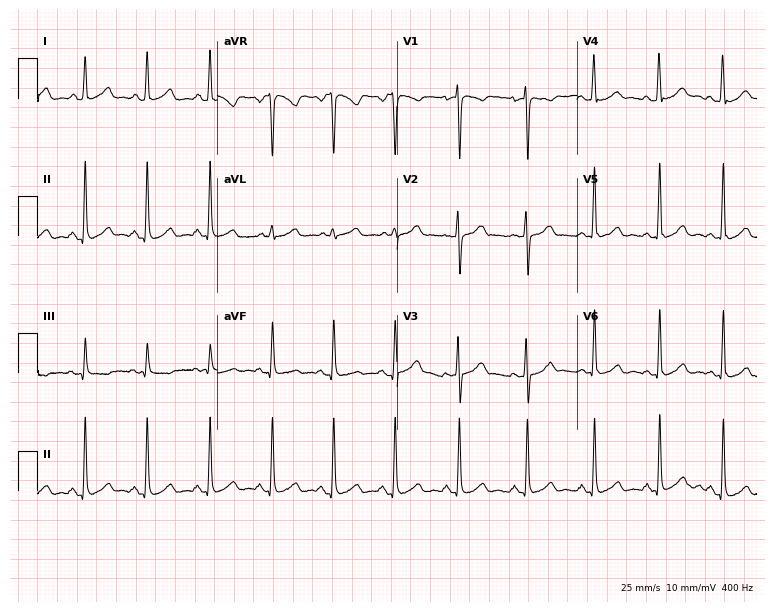
12-lead ECG from a female, 30 years old. Labelled as a normal ECG.